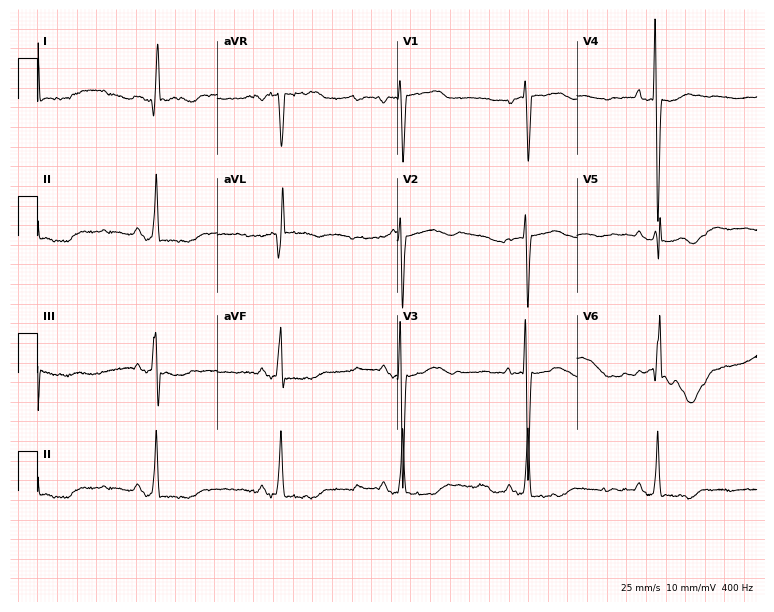
Electrocardiogram, a female, 79 years old. Of the six screened findings (first-degree AV block, right bundle branch block (RBBB), left bundle branch block (LBBB), sinus bradycardia, atrial fibrillation (AF), sinus tachycardia), none is recorded. Only these six findings were labelled.